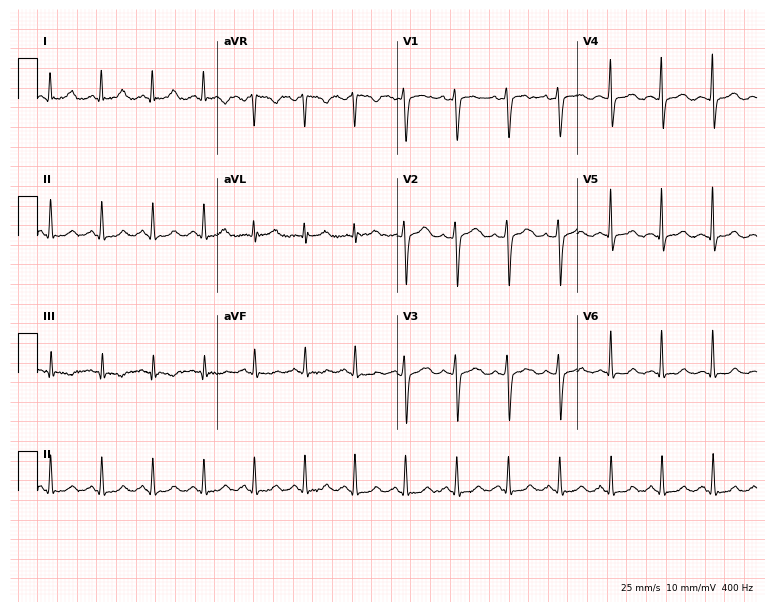
Electrocardiogram, a 43-year-old woman. Interpretation includes sinus tachycardia (a sinus rate of 100 beats per minute or more).